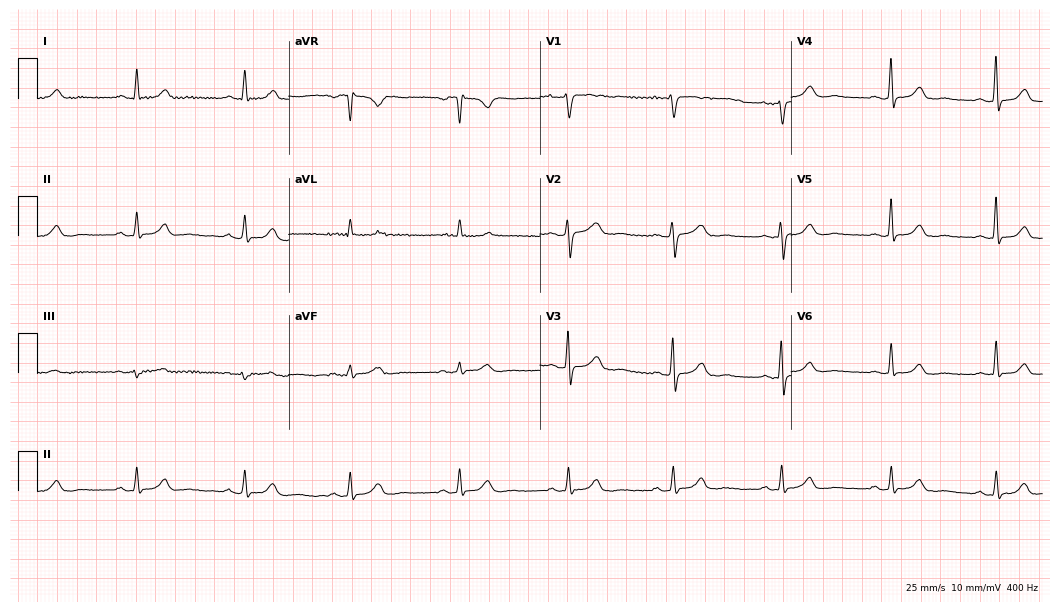
12-lead ECG from a woman, 74 years old. Recorded interpretation: within normal limits.